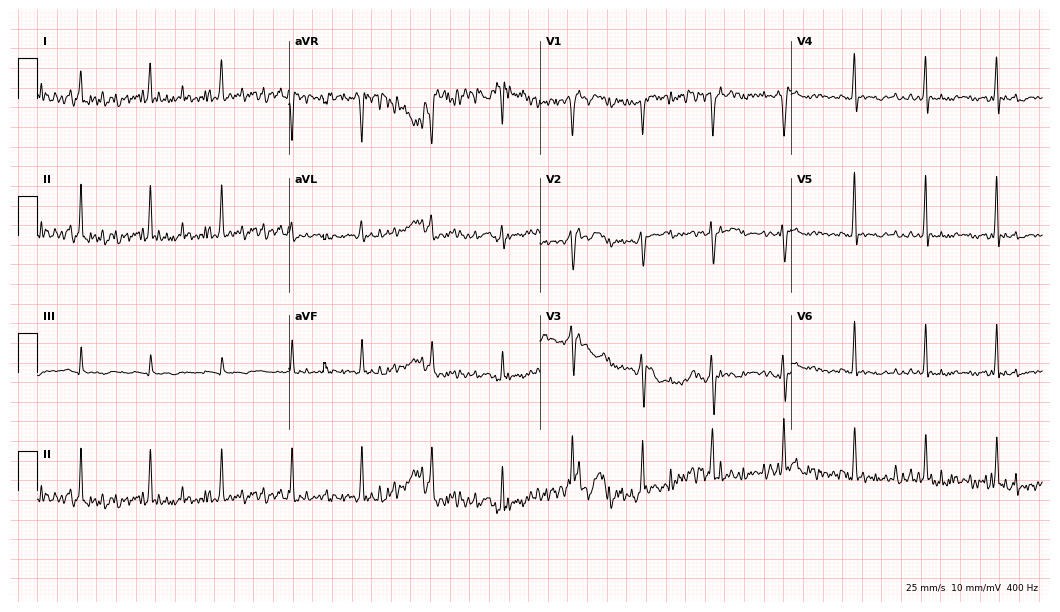
12-lead ECG from a female, 26 years old (10.2-second recording at 400 Hz). No first-degree AV block, right bundle branch block, left bundle branch block, sinus bradycardia, atrial fibrillation or sinus tachycardia recorded for this tracing. Findings outside these six are not listed.